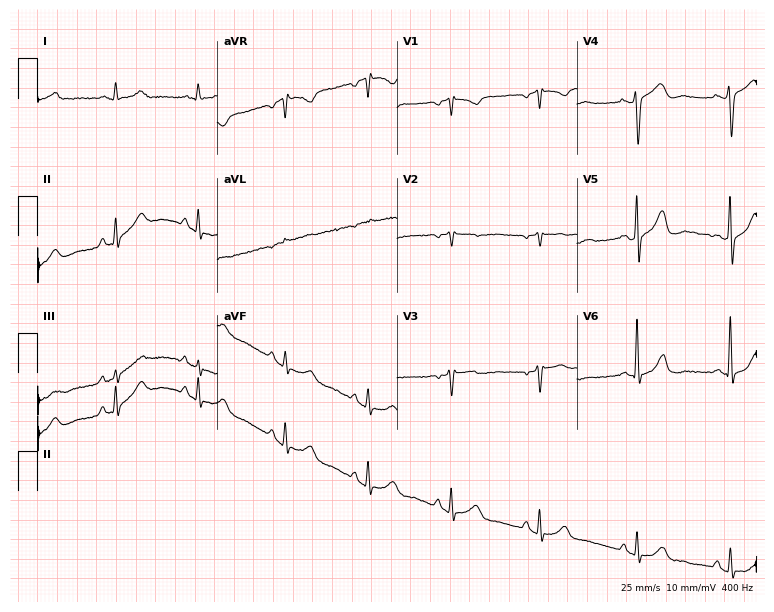
Electrocardiogram (7.3-second recording at 400 Hz), a 50-year-old female patient. Of the six screened findings (first-degree AV block, right bundle branch block (RBBB), left bundle branch block (LBBB), sinus bradycardia, atrial fibrillation (AF), sinus tachycardia), none is recorded. Only these six findings were labelled.